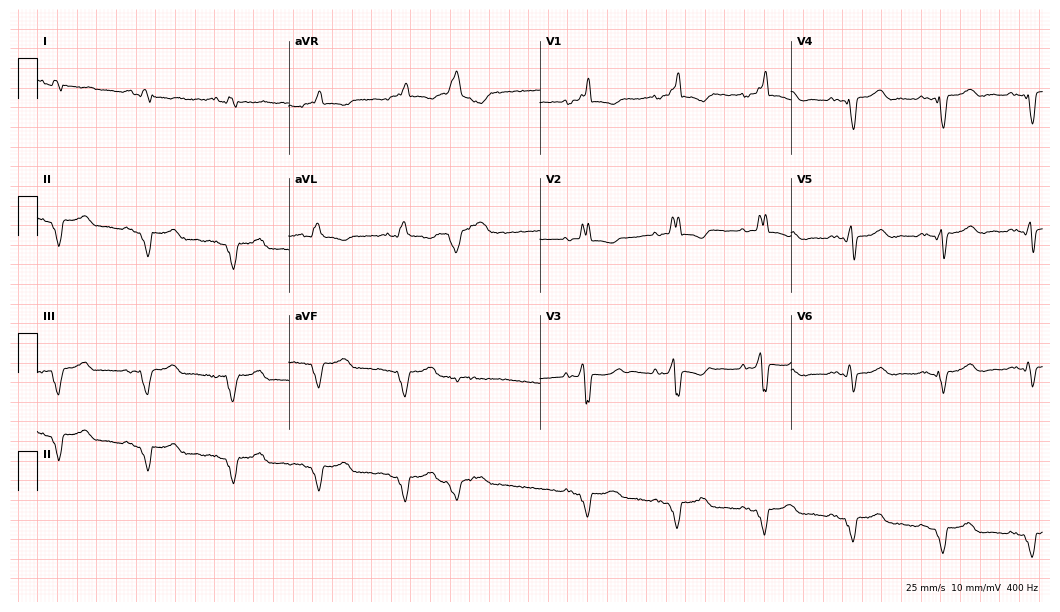
12-lead ECG from an 80-year-old female patient. Screened for six findings — first-degree AV block, right bundle branch block, left bundle branch block, sinus bradycardia, atrial fibrillation, sinus tachycardia — none is recorded.